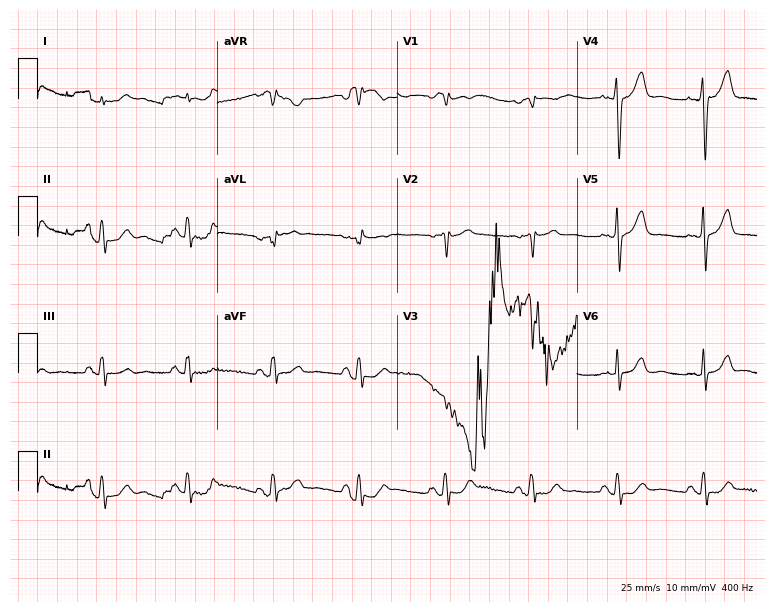
12-lead ECG (7.3-second recording at 400 Hz) from a man, 81 years old. Screened for six findings — first-degree AV block, right bundle branch block (RBBB), left bundle branch block (LBBB), sinus bradycardia, atrial fibrillation (AF), sinus tachycardia — none is recorded.